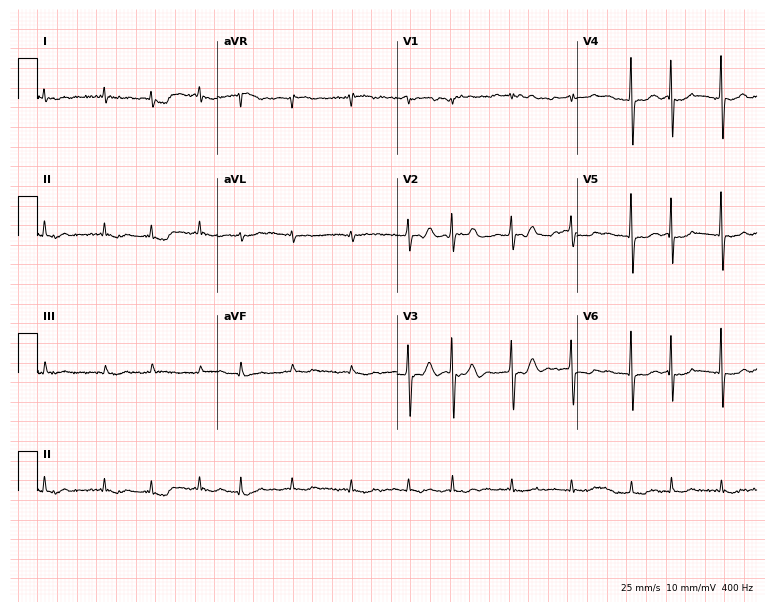
ECG (7.3-second recording at 400 Hz) — a 79-year-old woman. Findings include atrial fibrillation.